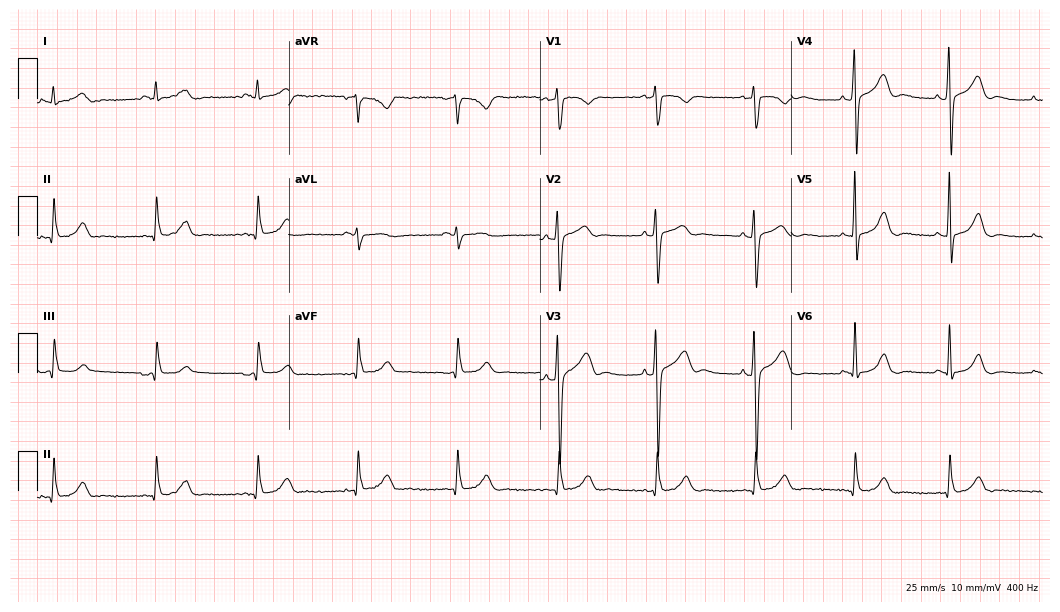
12-lead ECG (10.2-second recording at 400 Hz) from a man, 54 years old. Labelled as a normal ECG.